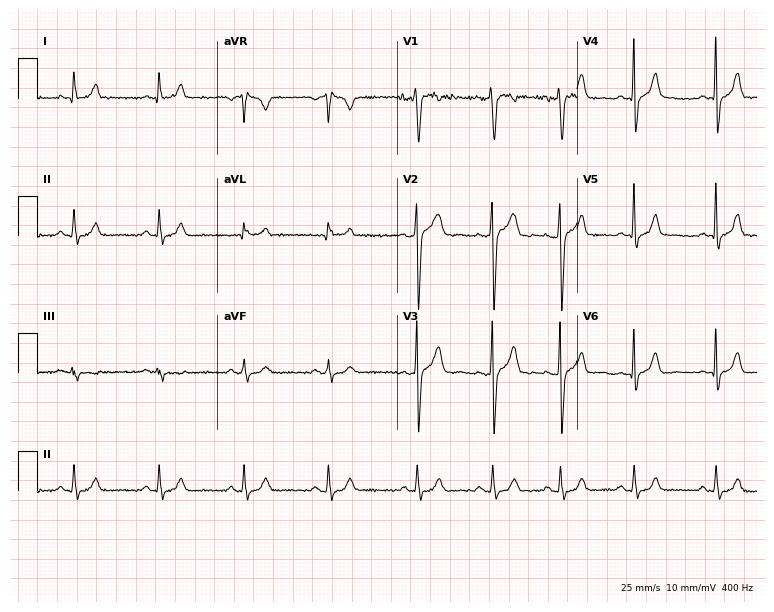
Electrocardiogram (7.3-second recording at 400 Hz), a 39-year-old male. Of the six screened findings (first-degree AV block, right bundle branch block, left bundle branch block, sinus bradycardia, atrial fibrillation, sinus tachycardia), none is recorded. Findings outside these six are not listed.